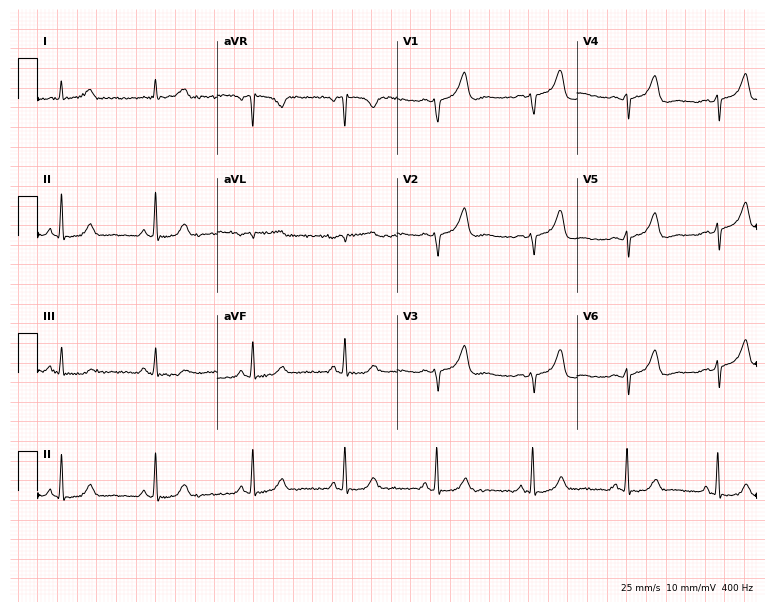
12-lead ECG (7.3-second recording at 400 Hz) from a female, 46 years old. Screened for six findings — first-degree AV block, right bundle branch block, left bundle branch block, sinus bradycardia, atrial fibrillation, sinus tachycardia — none is recorded.